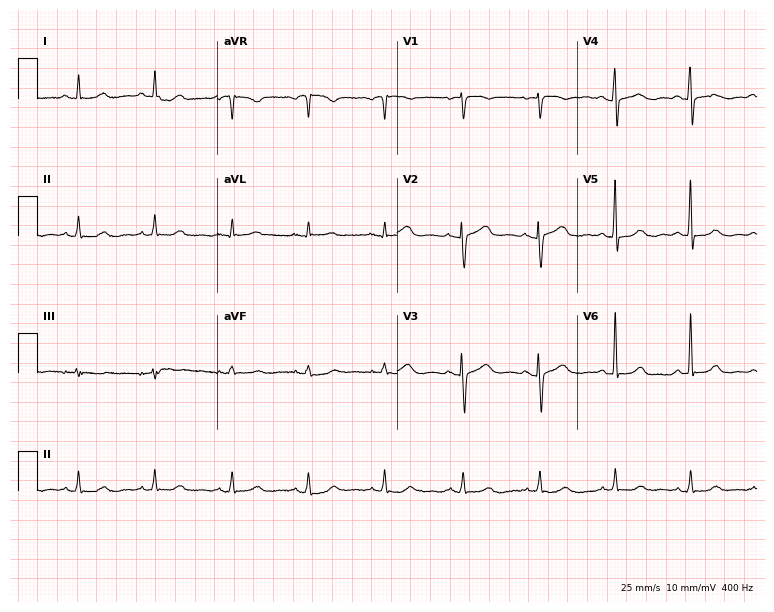
ECG — a female, 63 years old. Labelled as a normal ECG.